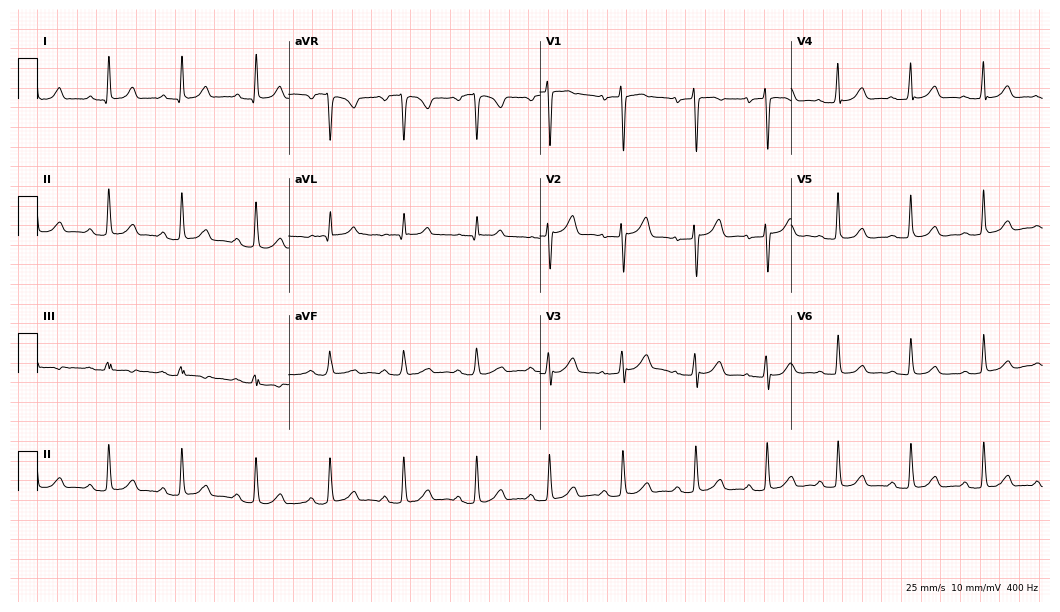
Standard 12-lead ECG recorded from a woman, 54 years old (10.2-second recording at 400 Hz). Read as a normal ECG.